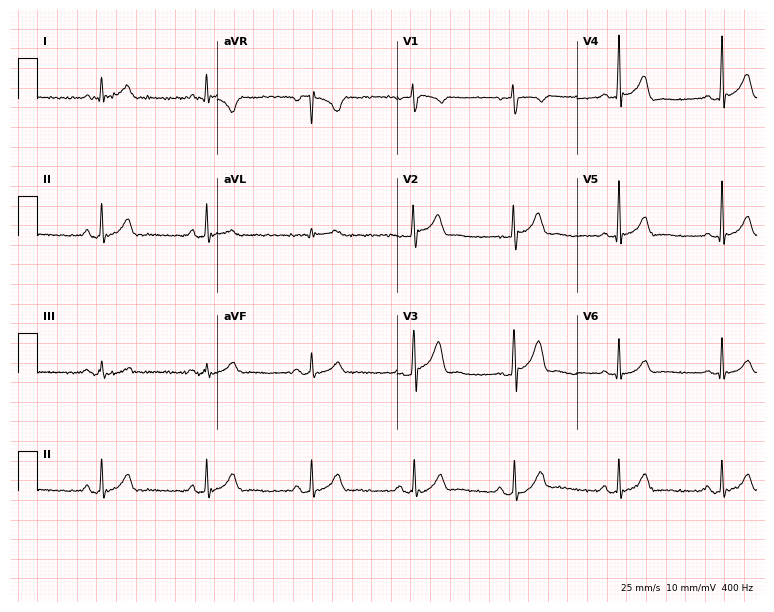
12-lead ECG from a male patient, 34 years old. Labelled as a normal ECG.